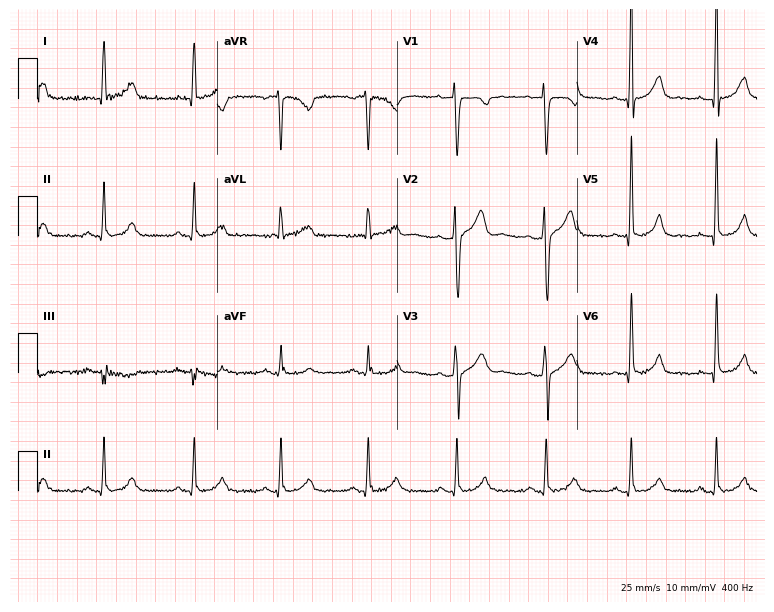
Standard 12-lead ECG recorded from a 39-year-old man (7.3-second recording at 400 Hz). None of these six findings is recorded: first-degree AV block, right bundle branch block, left bundle branch block, sinus bradycardia, atrial fibrillation, sinus tachycardia. Findings outside these six are not listed.